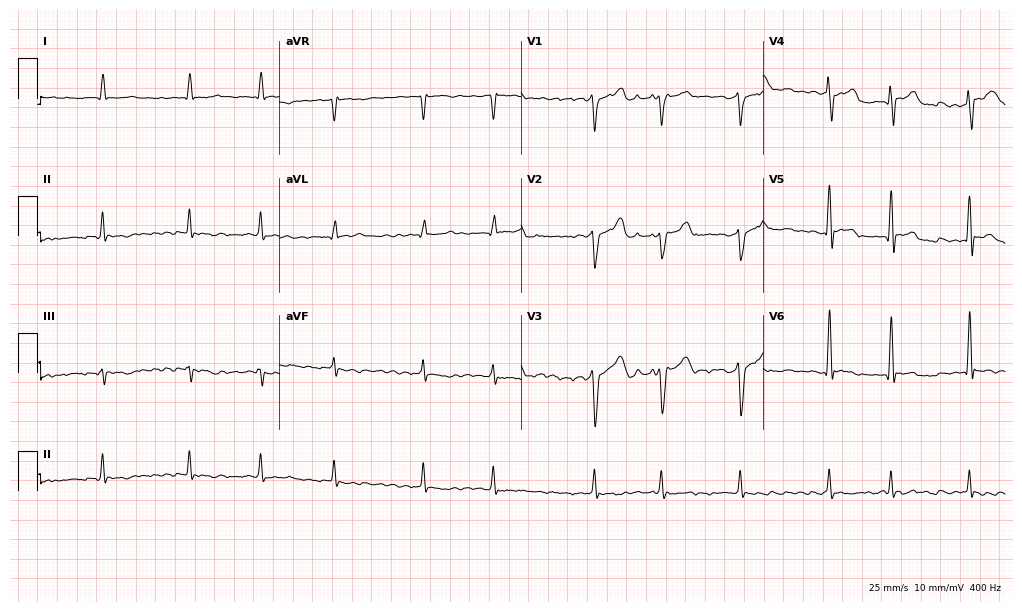
Standard 12-lead ECG recorded from a 55-year-old male patient. The tracing shows atrial fibrillation (AF).